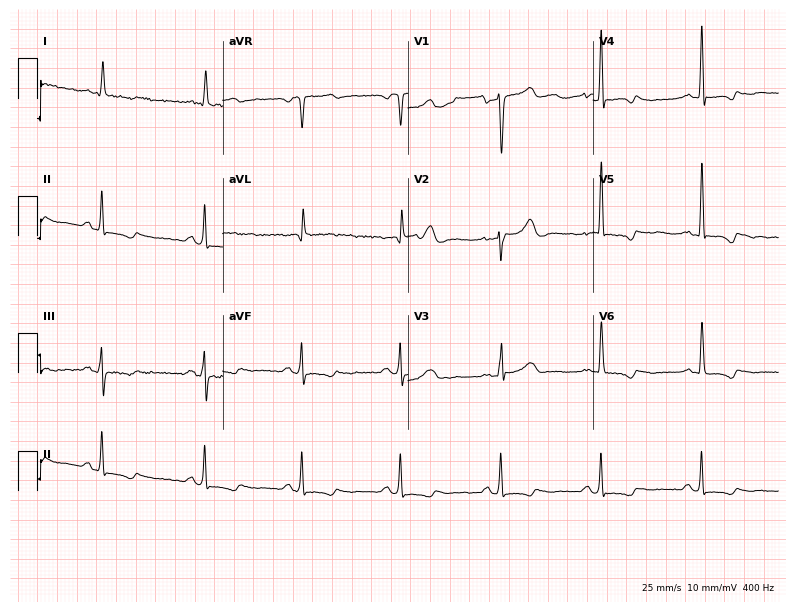
12-lead ECG from a 57-year-old female. No first-degree AV block, right bundle branch block (RBBB), left bundle branch block (LBBB), sinus bradycardia, atrial fibrillation (AF) or sinus tachycardia recorded for this tracing.